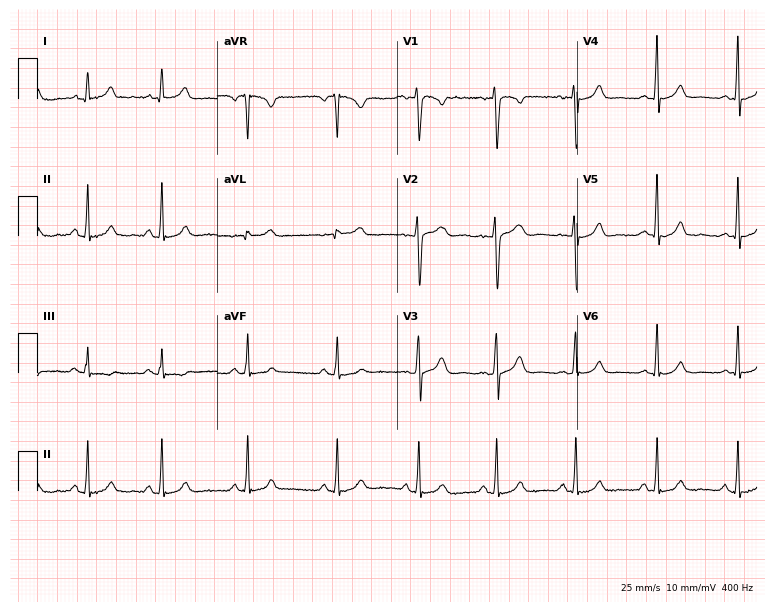
ECG (7.3-second recording at 400 Hz) — a female, 23 years old. Labelled as a normal ECG.